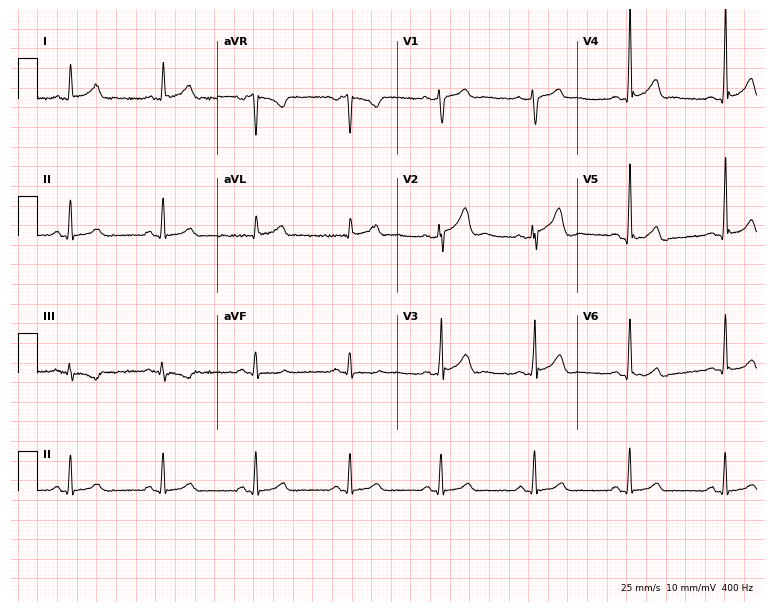
Standard 12-lead ECG recorded from a male patient, 35 years old. Read as a normal ECG.